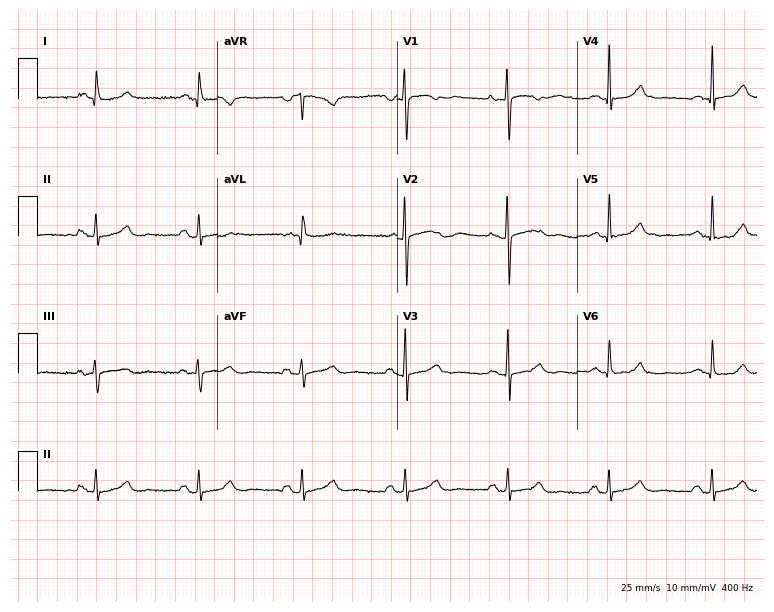
12-lead ECG (7.3-second recording at 400 Hz) from a male, 51 years old. Screened for six findings — first-degree AV block, right bundle branch block, left bundle branch block, sinus bradycardia, atrial fibrillation, sinus tachycardia — none is recorded.